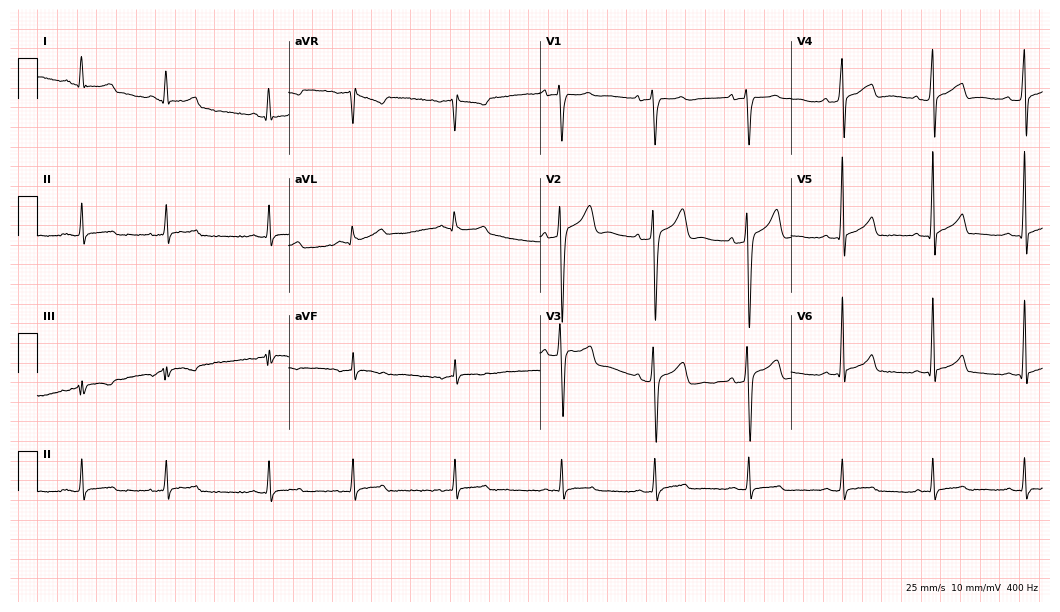
12-lead ECG from a man, 36 years old (10.2-second recording at 400 Hz). Recorded interpretation: within normal limits.